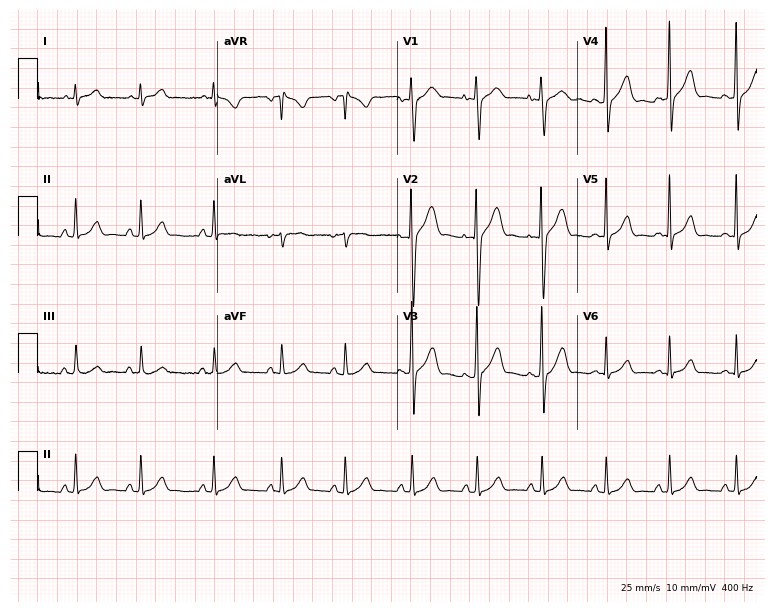
12-lead ECG from a man, 21 years old. Recorded interpretation: within normal limits.